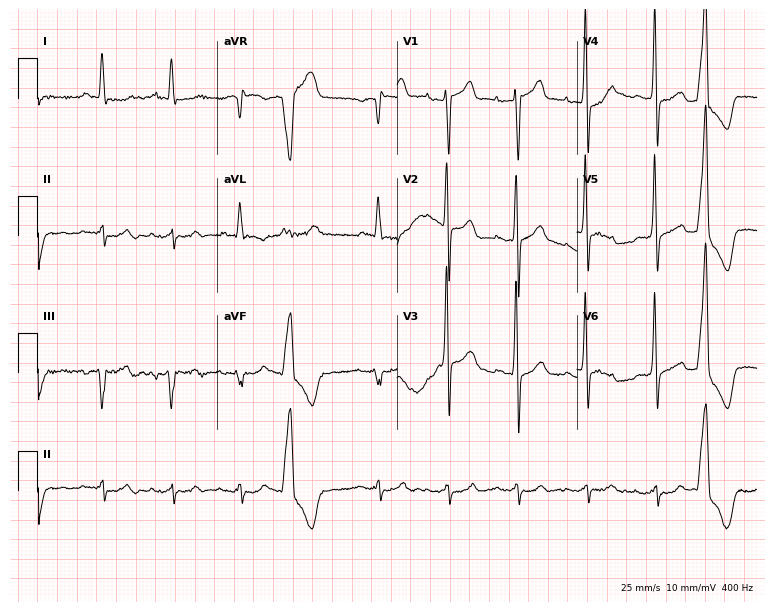
12-lead ECG from an 84-year-old male patient. Screened for six findings — first-degree AV block, right bundle branch block, left bundle branch block, sinus bradycardia, atrial fibrillation, sinus tachycardia — none is recorded.